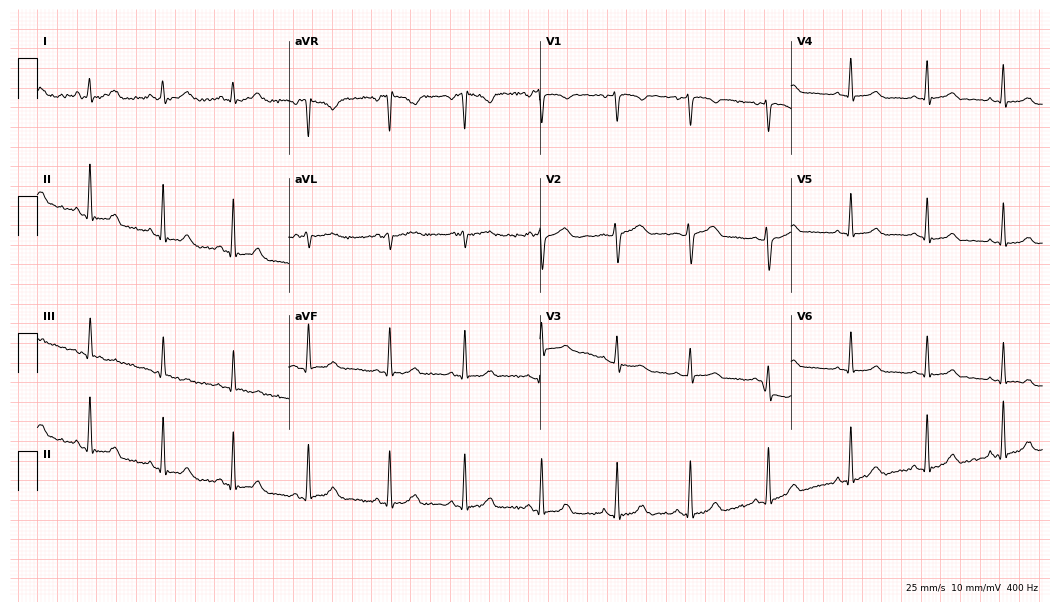
Electrocardiogram, a 25-year-old female. Overall reading on record: normal ECG.